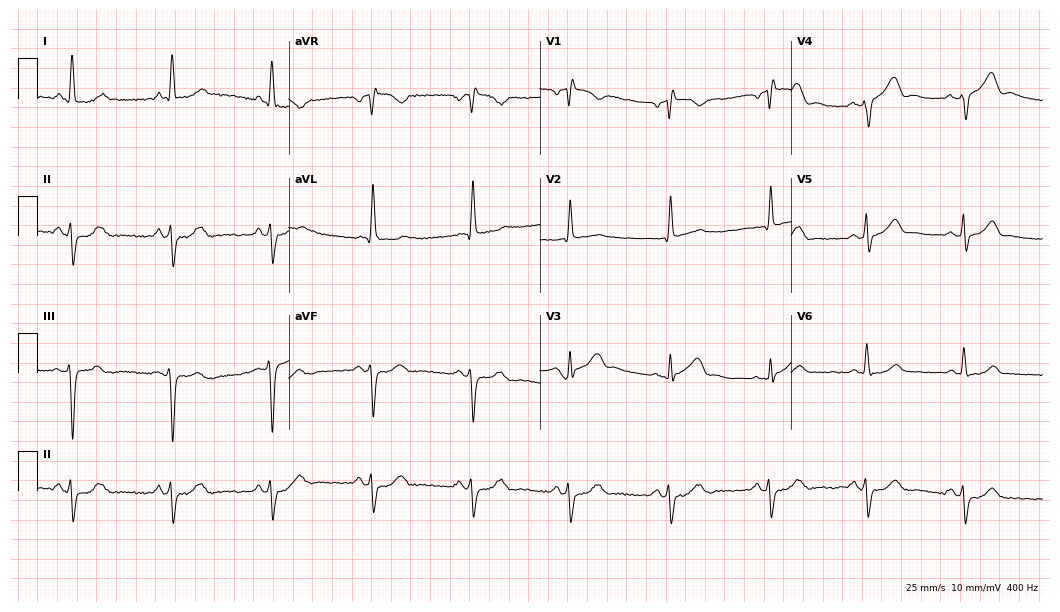
Electrocardiogram, a male, 67 years old. Interpretation includes right bundle branch block.